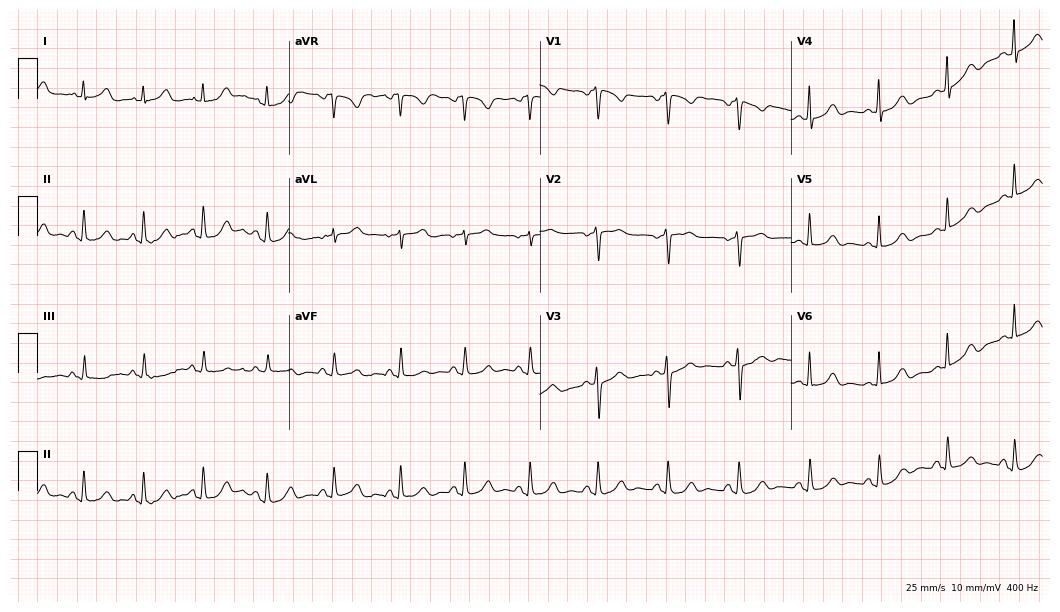
Standard 12-lead ECG recorded from a woman, 29 years old. None of these six findings is recorded: first-degree AV block, right bundle branch block (RBBB), left bundle branch block (LBBB), sinus bradycardia, atrial fibrillation (AF), sinus tachycardia.